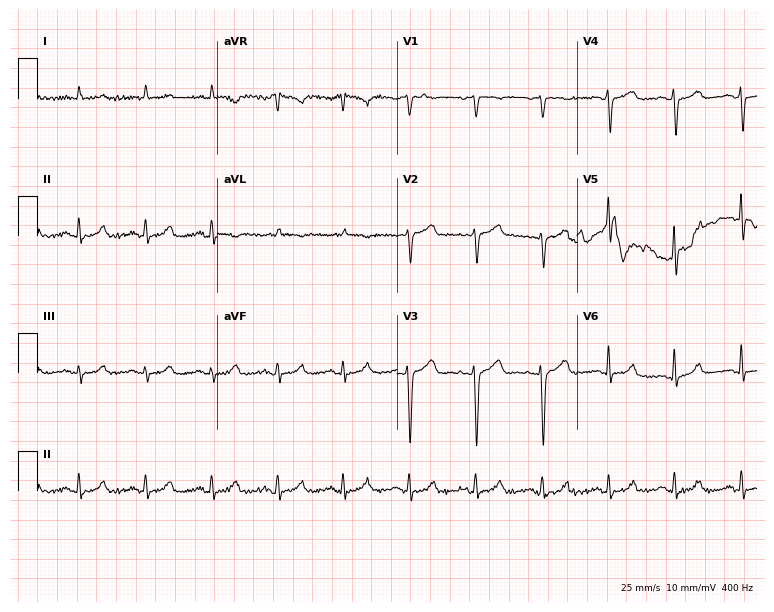
12-lead ECG from a female, 84 years old. Screened for six findings — first-degree AV block, right bundle branch block, left bundle branch block, sinus bradycardia, atrial fibrillation, sinus tachycardia — none is recorded.